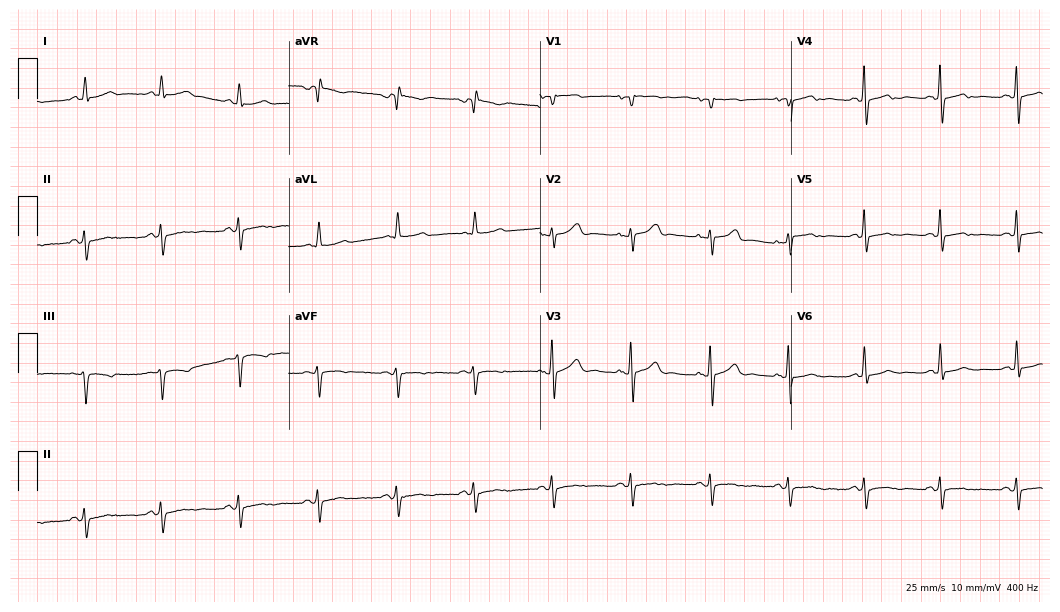
Resting 12-lead electrocardiogram. Patient: a female, 79 years old. None of these six findings is recorded: first-degree AV block, right bundle branch block, left bundle branch block, sinus bradycardia, atrial fibrillation, sinus tachycardia.